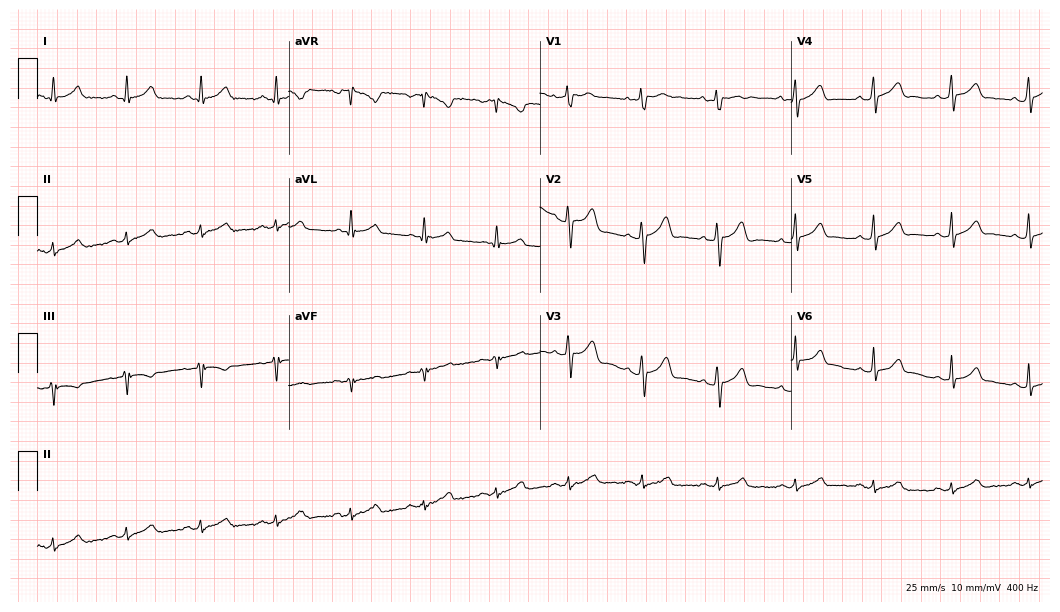
Standard 12-lead ECG recorded from a male patient, 37 years old (10.2-second recording at 400 Hz). Read as a normal ECG.